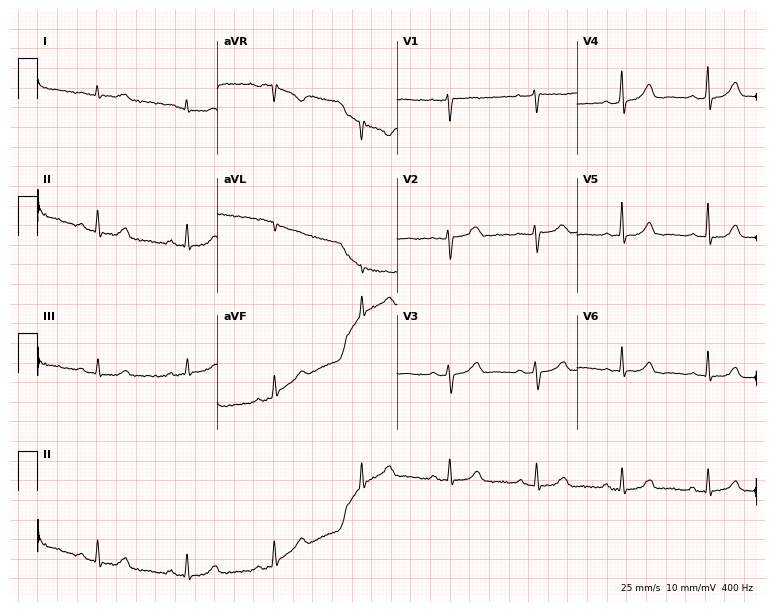
Resting 12-lead electrocardiogram (7.3-second recording at 400 Hz). Patient: a woman, 47 years old. None of these six findings is recorded: first-degree AV block, right bundle branch block, left bundle branch block, sinus bradycardia, atrial fibrillation, sinus tachycardia. Only these six findings were labelled.